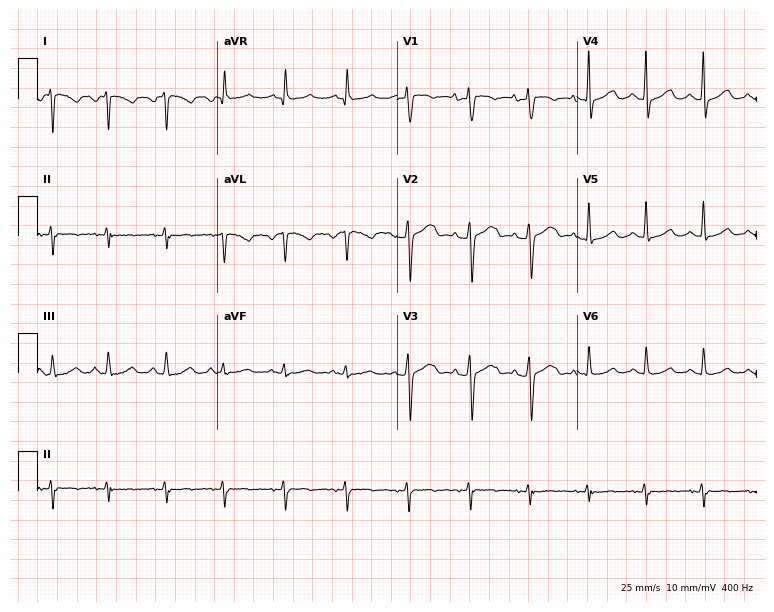
Standard 12-lead ECG recorded from a female, 45 years old. None of these six findings is recorded: first-degree AV block, right bundle branch block, left bundle branch block, sinus bradycardia, atrial fibrillation, sinus tachycardia. Only these six findings were labelled.